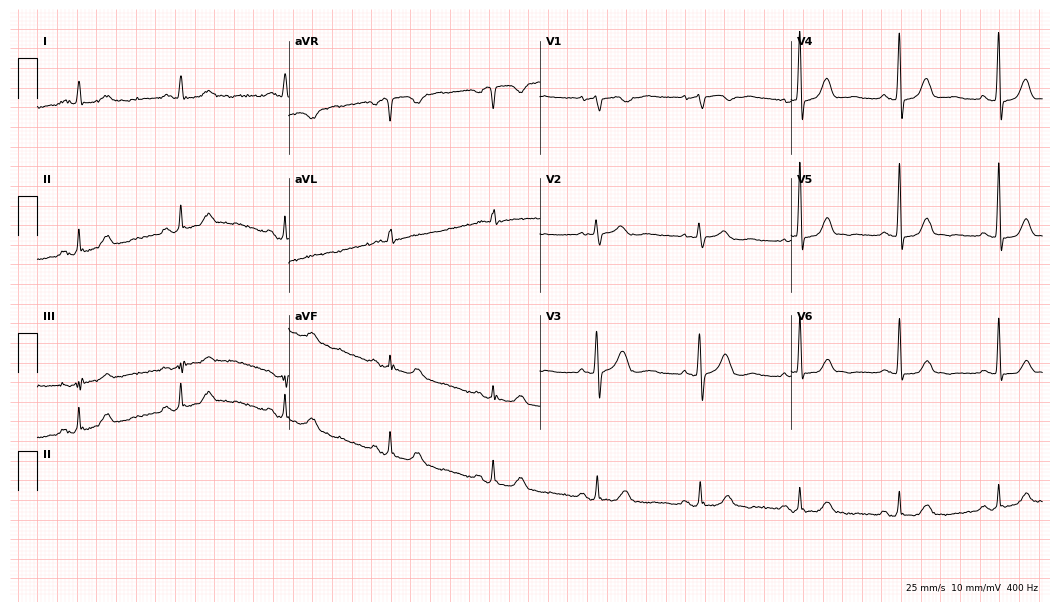
12-lead ECG from a female patient, 84 years old (10.2-second recording at 400 Hz). Recorded interpretation: within normal limits.